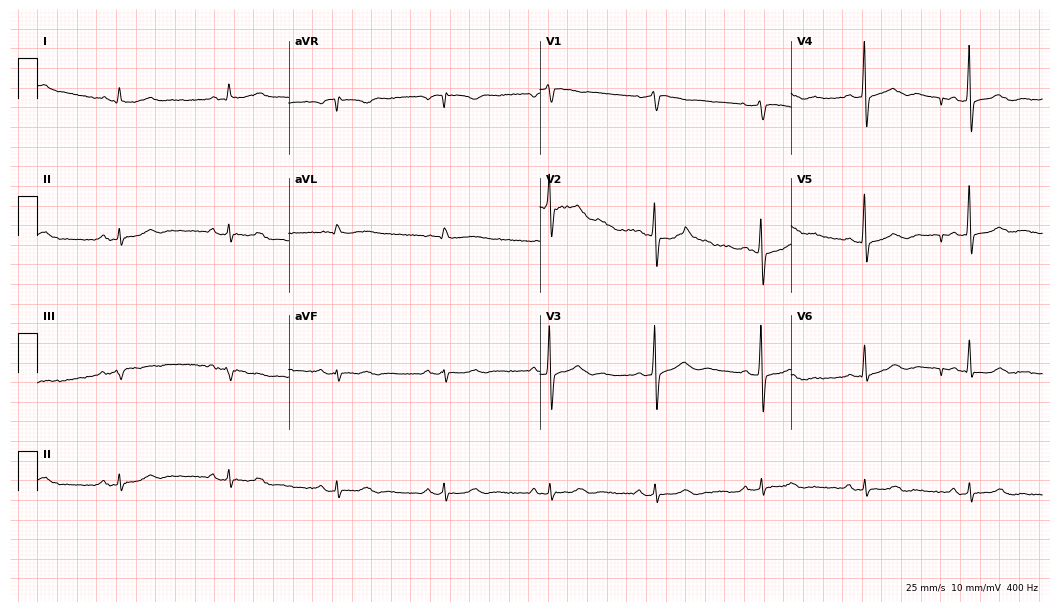
12-lead ECG from a man, 81 years old. No first-degree AV block, right bundle branch block, left bundle branch block, sinus bradycardia, atrial fibrillation or sinus tachycardia recorded for this tracing.